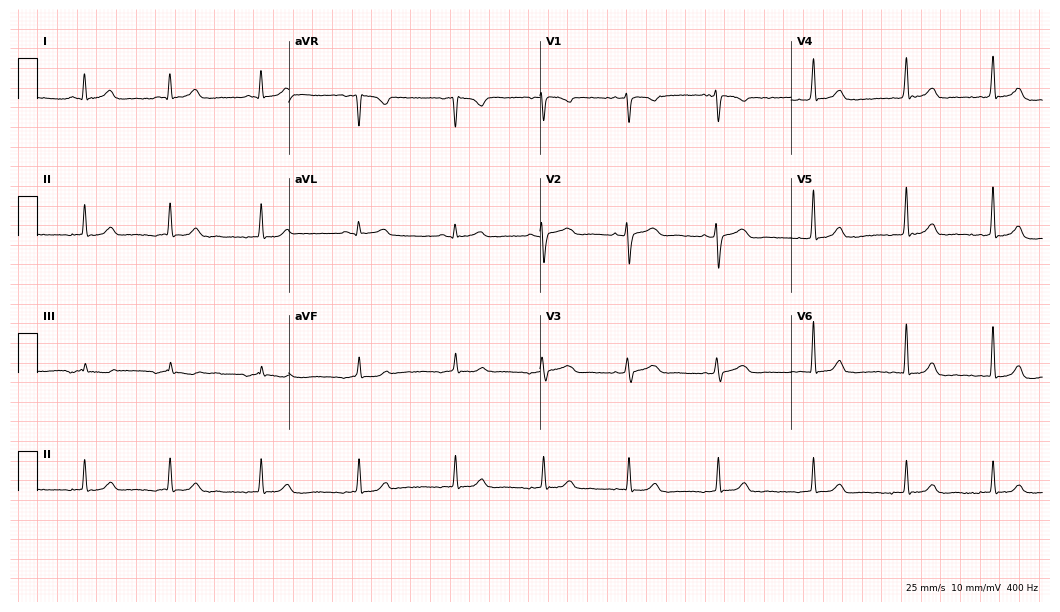
Electrocardiogram, a woman, 30 years old. Overall reading on record: normal ECG.